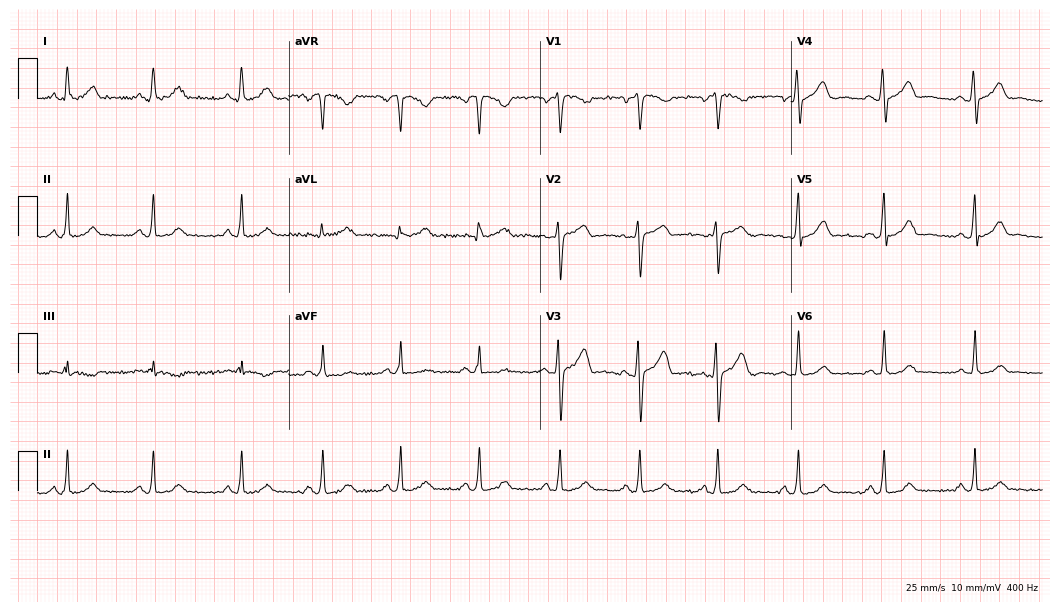
Standard 12-lead ECG recorded from a 32-year-old female patient (10.2-second recording at 400 Hz). Read as a normal ECG.